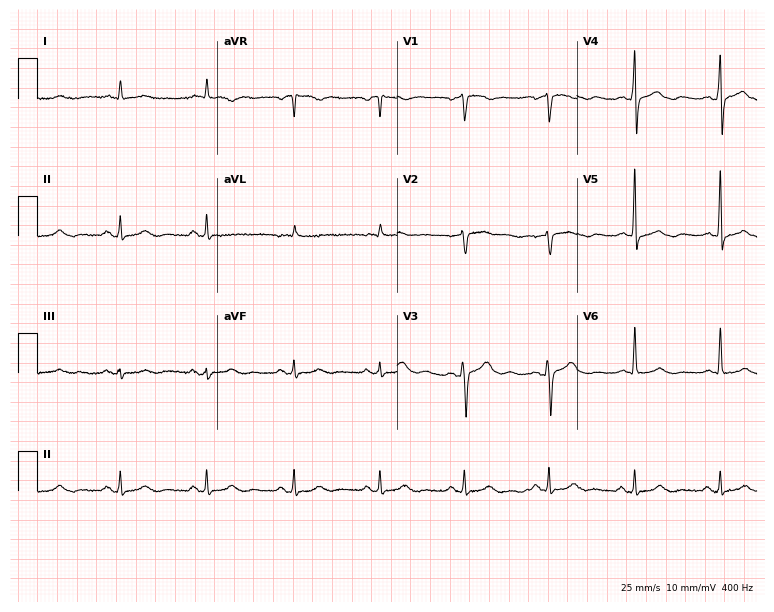
12-lead ECG from a woman, 69 years old. Screened for six findings — first-degree AV block, right bundle branch block, left bundle branch block, sinus bradycardia, atrial fibrillation, sinus tachycardia — none is recorded.